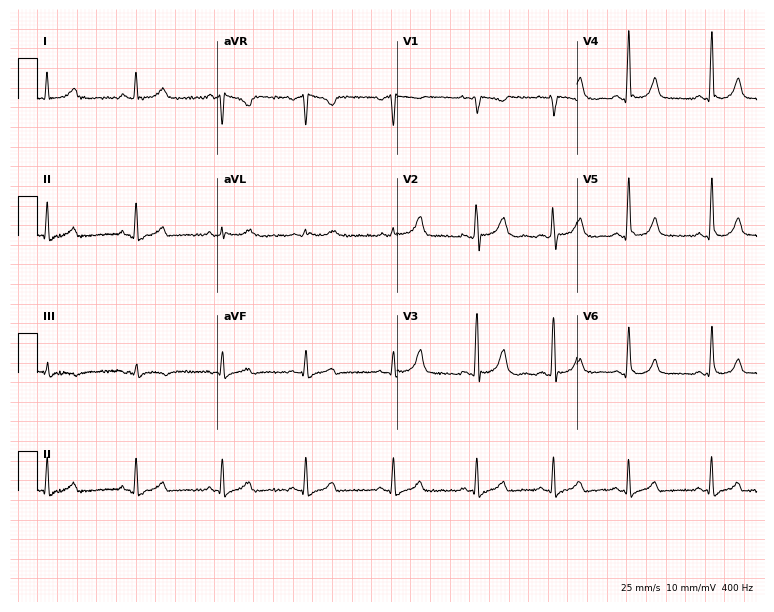
Standard 12-lead ECG recorded from a female, 66 years old. Read as a normal ECG.